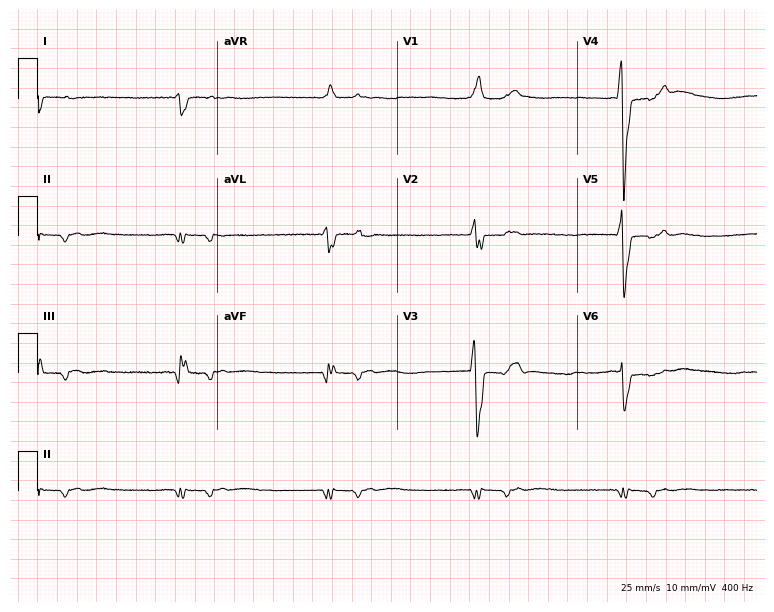
12-lead ECG from a male, 66 years old. Screened for six findings — first-degree AV block, right bundle branch block (RBBB), left bundle branch block (LBBB), sinus bradycardia, atrial fibrillation (AF), sinus tachycardia — none is recorded.